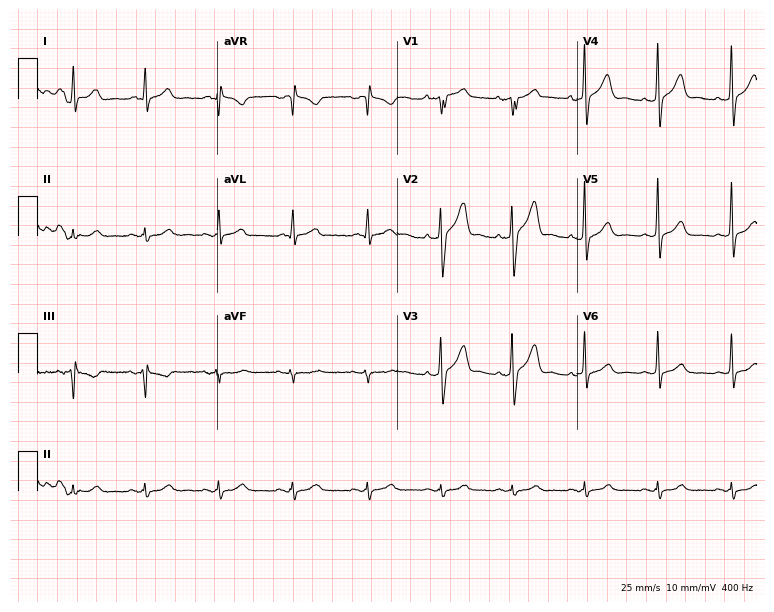
Resting 12-lead electrocardiogram (7.3-second recording at 400 Hz). Patient: a male, 51 years old. Read as a normal ECG.